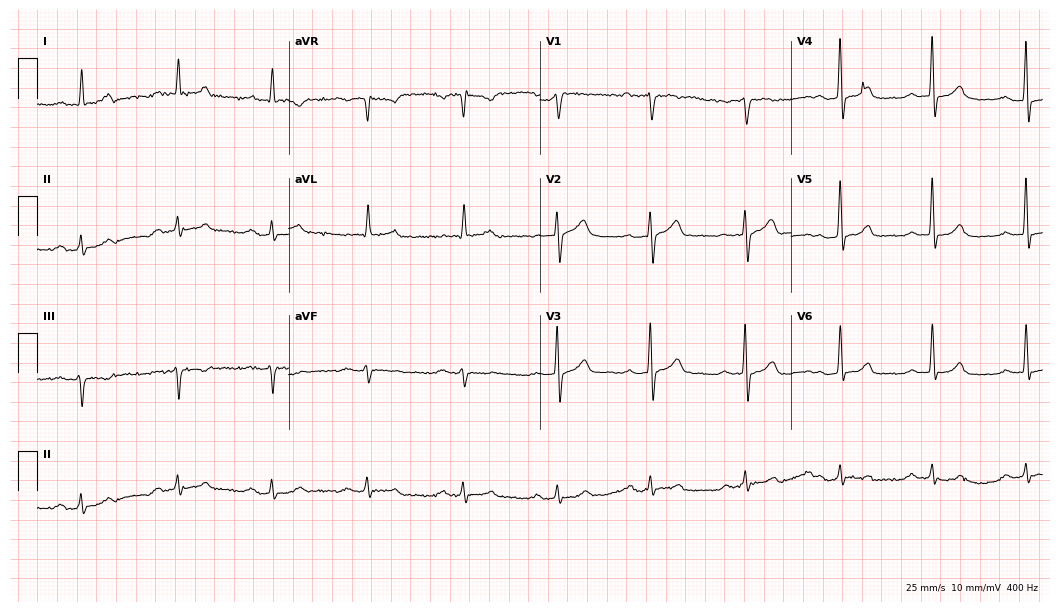
Resting 12-lead electrocardiogram. Patient: a 71-year-old male. The tracing shows first-degree AV block.